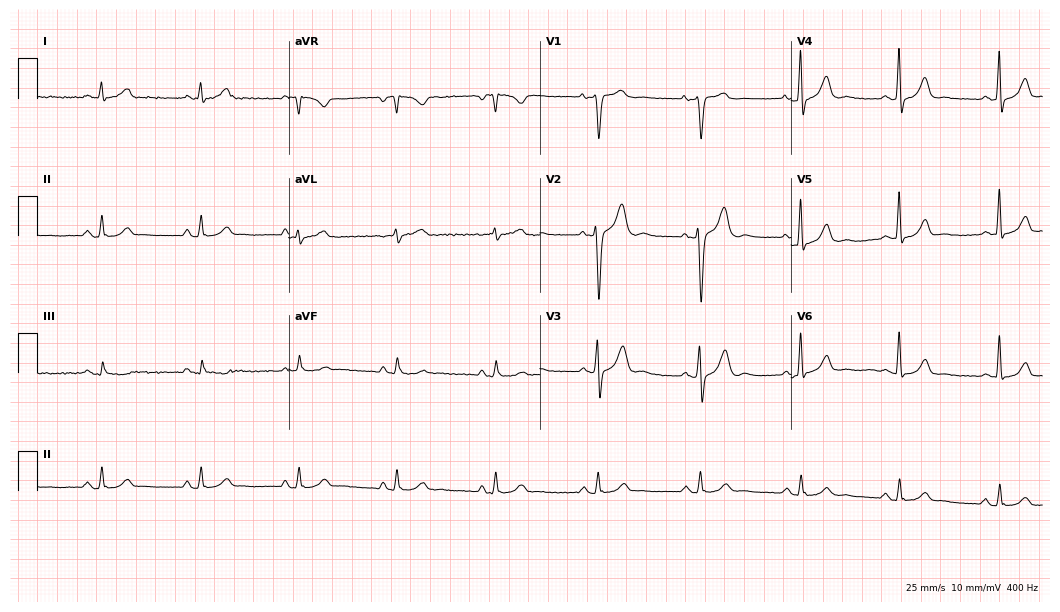
Electrocardiogram (10.2-second recording at 400 Hz), a male, 52 years old. Overall reading on record: normal ECG.